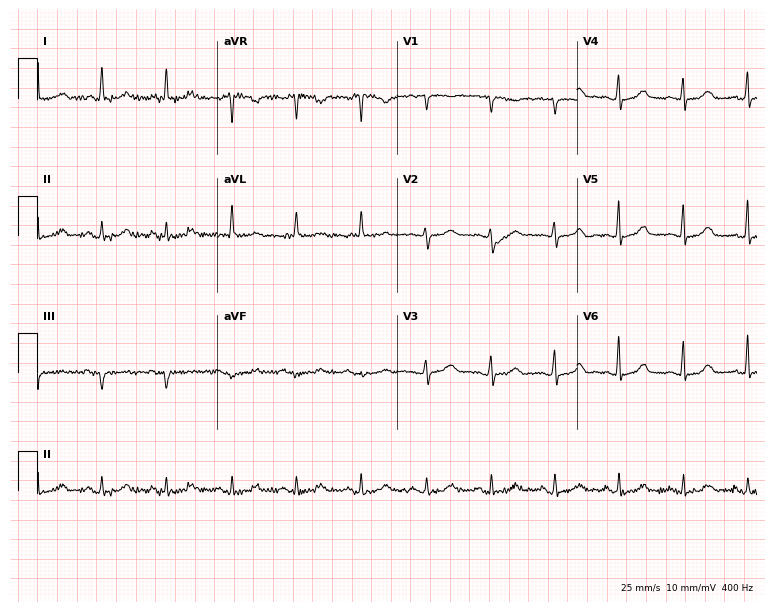
ECG (7.3-second recording at 400 Hz) — a 52-year-old woman. Labelled as a normal ECG.